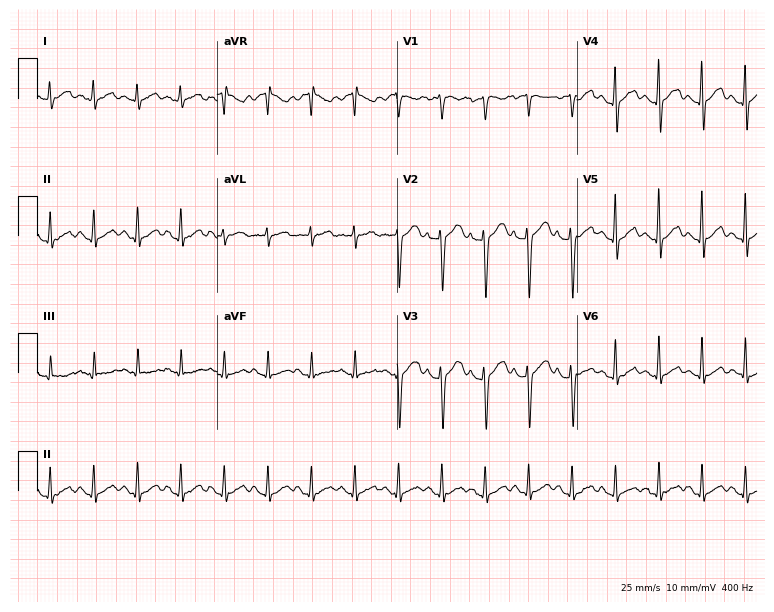
Standard 12-lead ECG recorded from a 56-year-old female patient. The tracing shows sinus tachycardia (a sinus rate of 100 beats per minute or more).